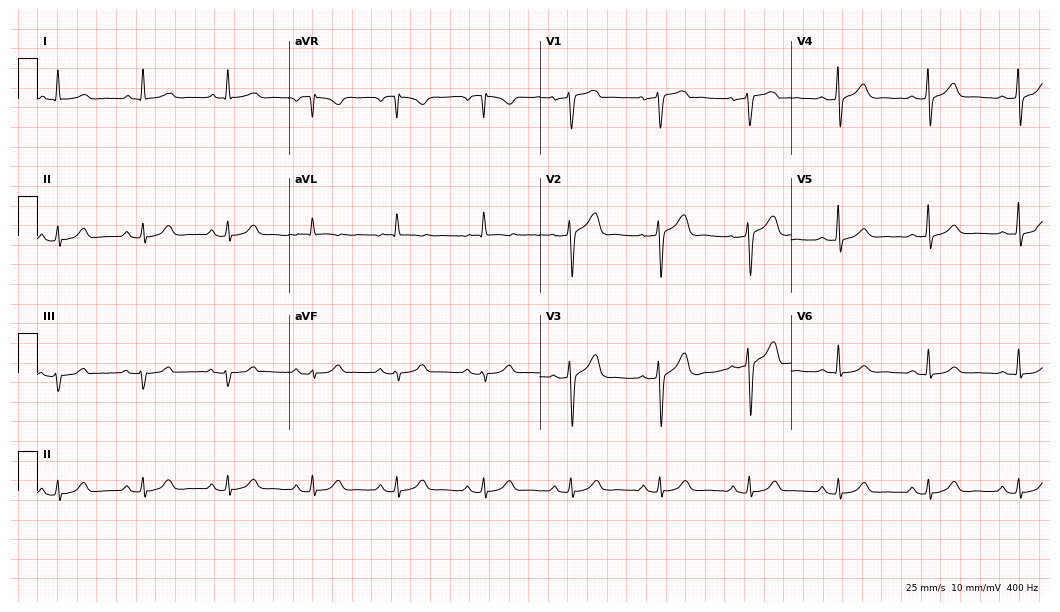
ECG — a 74-year-old man. Labelled as a normal ECG.